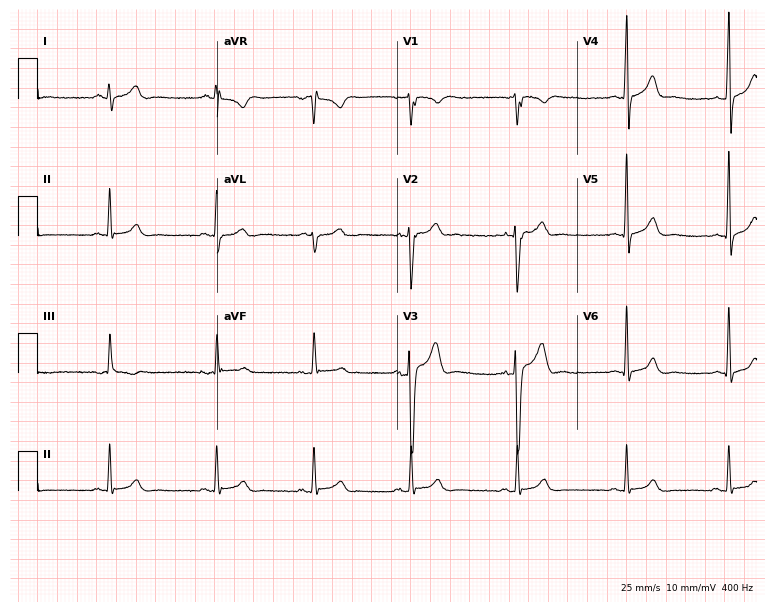
Resting 12-lead electrocardiogram. Patient: a 19-year-old man. Read as a normal ECG.